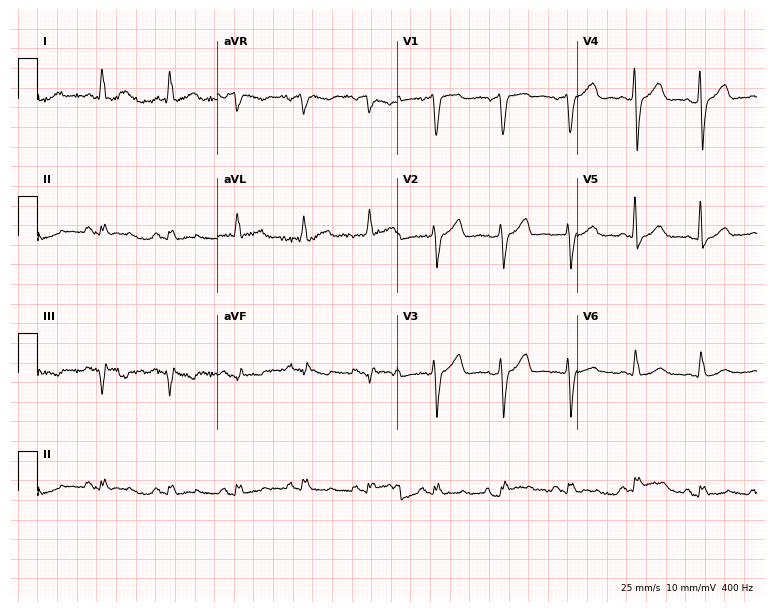
Standard 12-lead ECG recorded from a 69-year-old female. None of these six findings is recorded: first-degree AV block, right bundle branch block (RBBB), left bundle branch block (LBBB), sinus bradycardia, atrial fibrillation (AF), sinus tachycardia. Findings outside these six are not listed.